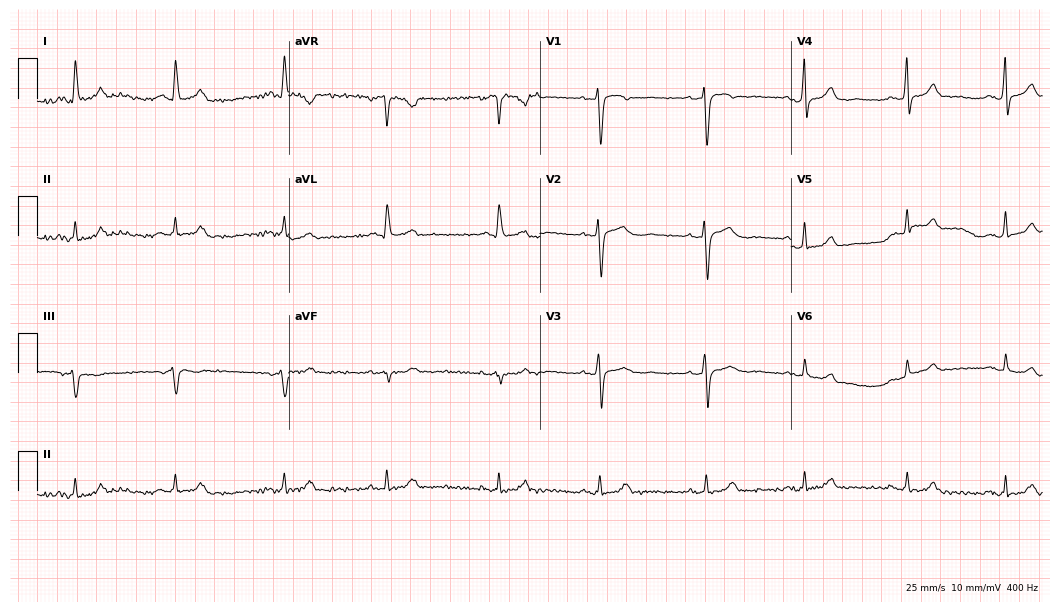
ECG (10.2-second recording at 400 Hz) — a female patient, 41 years old. Labelled as a normal ECG.